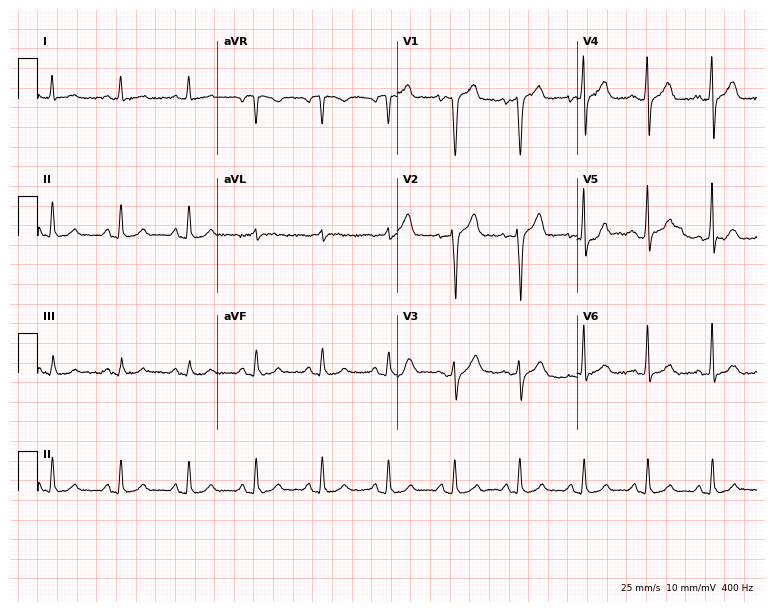
ECG (7.3-second recording at 400 Hz) — a 52-year-old male patient. Labelled as a normal ECG.